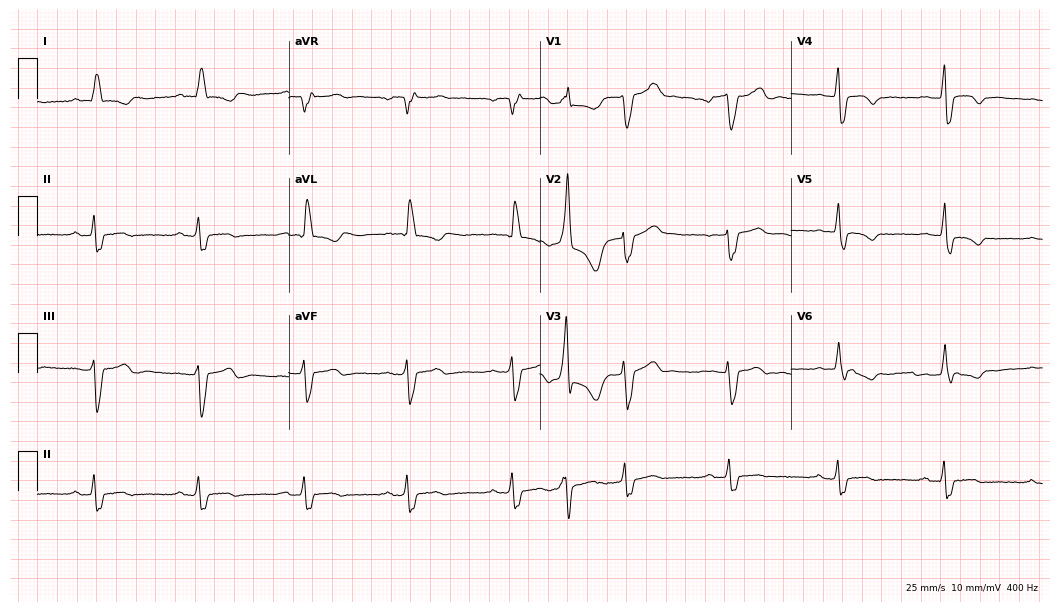
12-lead ECG from a 66-year-old woman (10.2-second recording at 400 Hz). No first-degree AV block, right bundle branch block (RBBB), left bundle branch block (LBBB), sinus bradycardia, atrial fibrillation (AF) or sinus tachycardia recorded for this tracing.